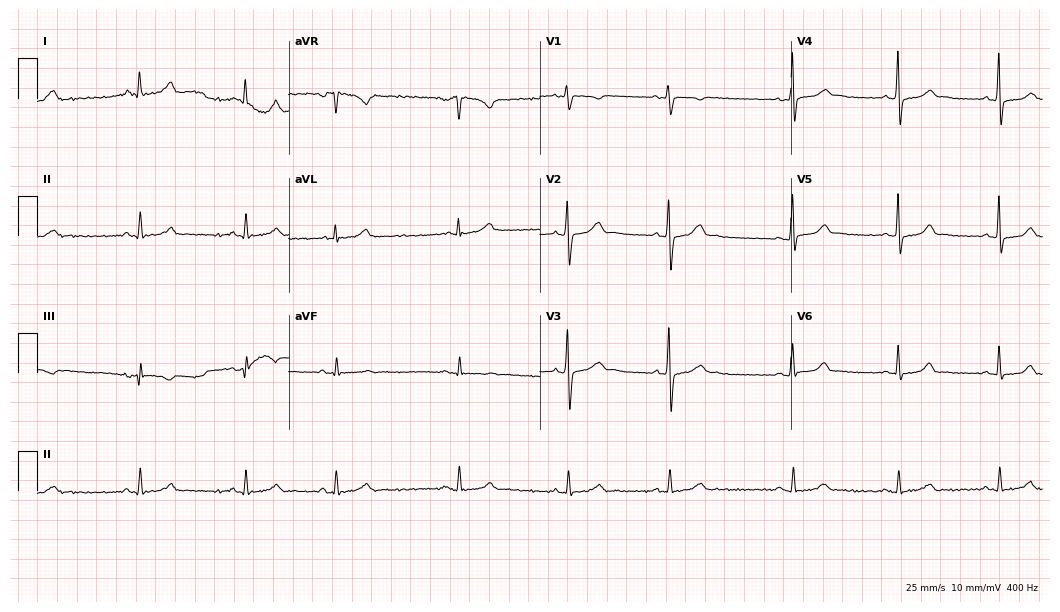
12-lead ECG from a 19-year-old female patient. Labelled as a normal ECG.